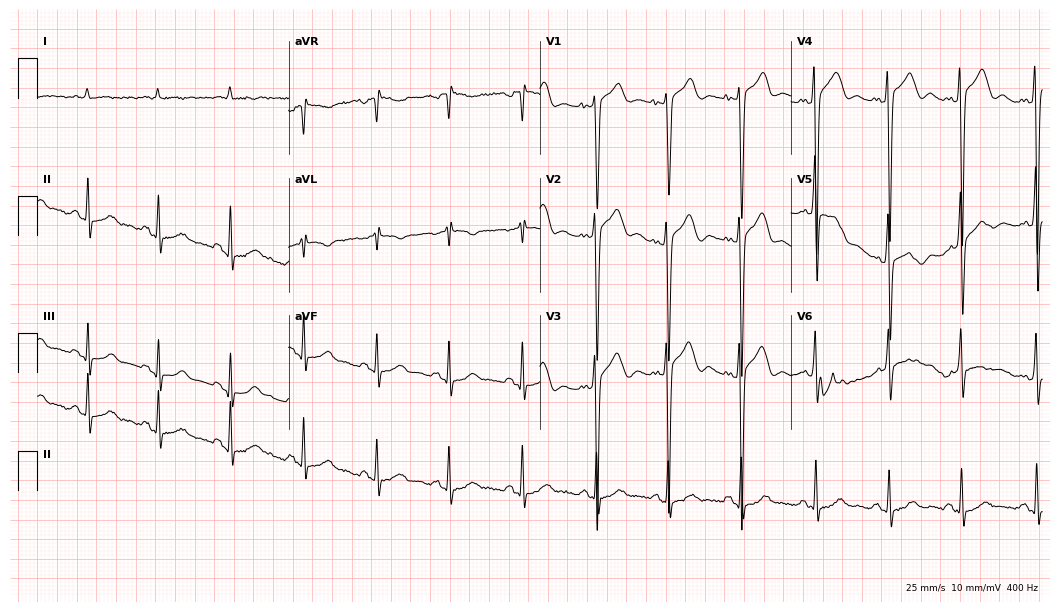
Resting 12-lead electrocardiogram (10.2-second recording at 400 Hz). Patient: a man, 62 years old. None of these six findings is recorded: first-degree AV block, right bundle branch block, left bundle branch block, sinus bradycardia, atrial fibrillation, sinus tachycardia.